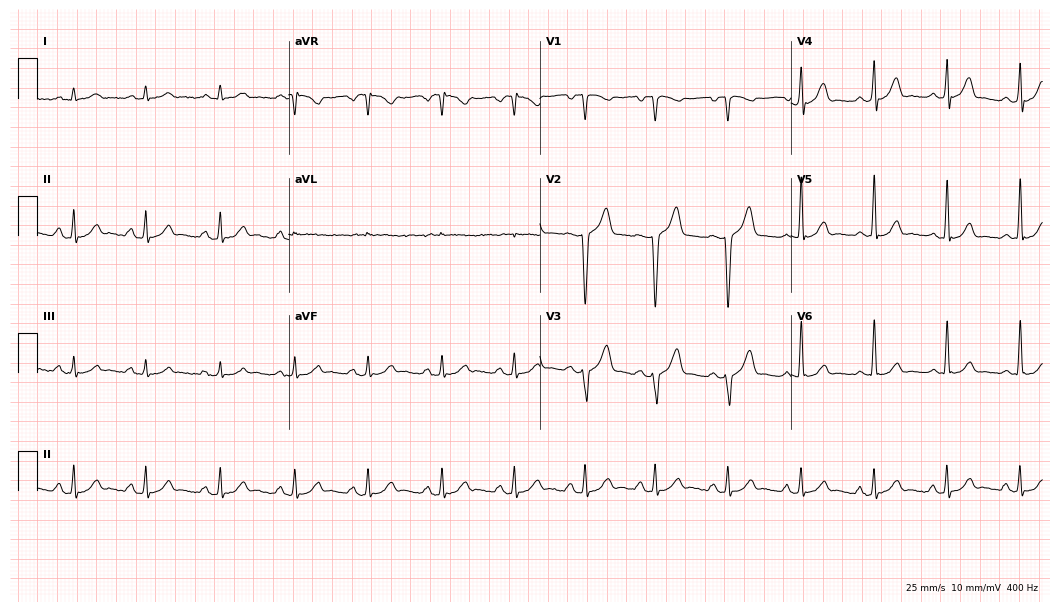
Standard 12-lead ECG recorded from a man, 35 years old. Read as a normal ECG.